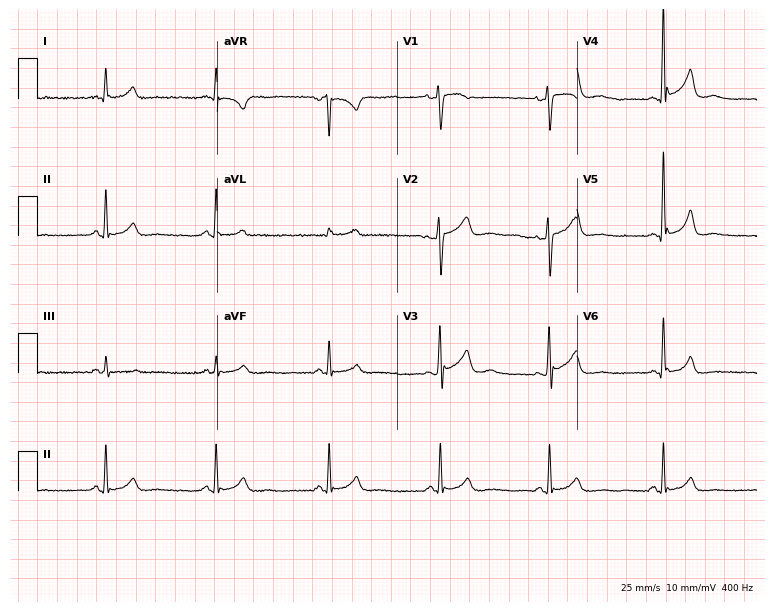
12-lead ECG from a male, 42 years old. Screened for six findings — first-degree AV block, right bundle branch block, left bundle branch block, sinus bradycardia, atrial fibrillation, sinus tachycardia — none is recorded. Other findings, if any, are not listed.